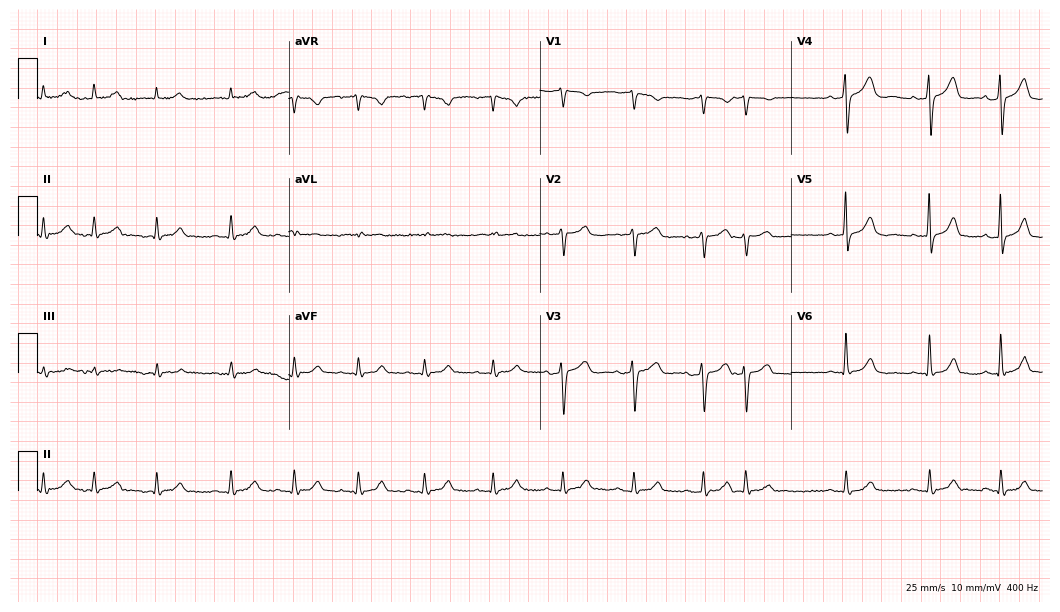
Resting 12-lead electrocardiogram (10.2-second recording at 400 Hz). Patient: a male, 80 years old. None of these six findings is recorded: first-degree AV block, right bundle branch block (RBBB), left bundle branch block (LBBB), sinus bradycardia, atrial fibrillation (AF), sinus tachycardia. Only these six findings were labelled.